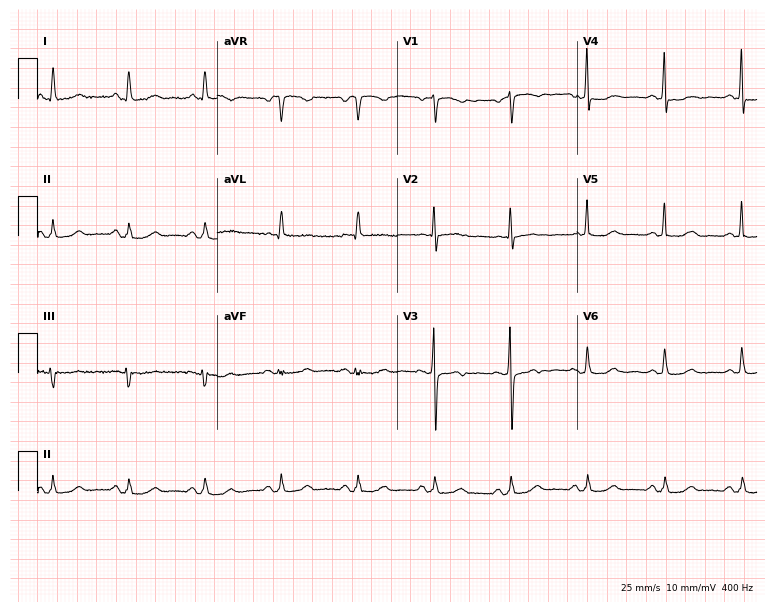
ECG — a 56-year-old female. Screened for six findings — first-degree AV block, right bundle branch block, left bundle branch block, sinus bradycardia, atrial fibrillation, sinus tachycardia — none is recorded.